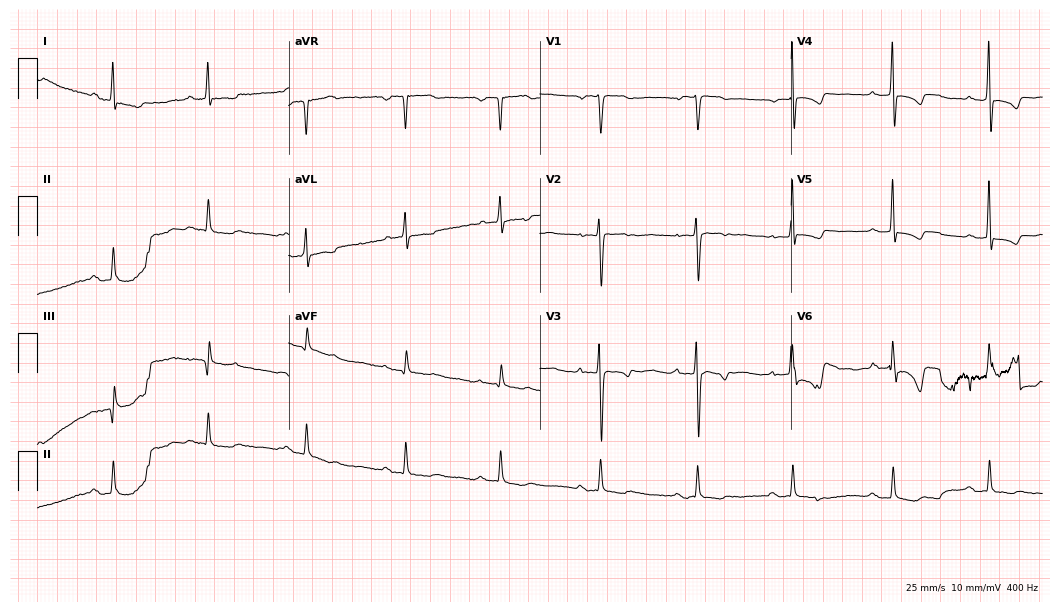
Standard 12-lead ECG recorded from a female, 73 years old (10.2-second recording at 400 Hz). None of these six findings is recorded: first-degree AV block, right bundle branch block (RBBB), left bundle branch block (LBBB), sinus bradycardia, atrial fibrillation (AF), sinus tachycardia.